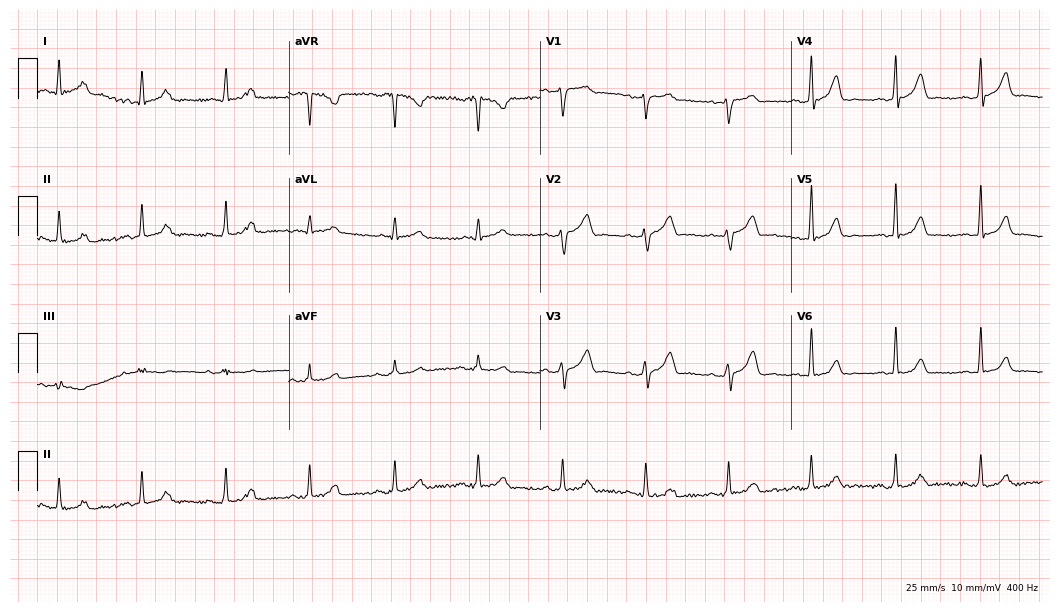
ECG (10.2-second recording at 400 Hz) — a 51-year-old woman. Labelled as a normal ECG.